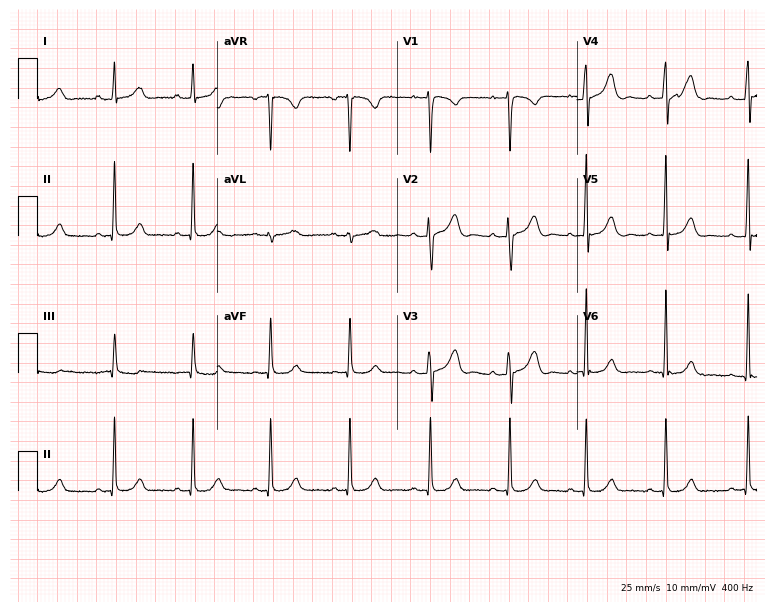
12-lead ECG (7.3-second recording at 400 Hz) from a 34-year-old woman. Labelled as a normal ECG.